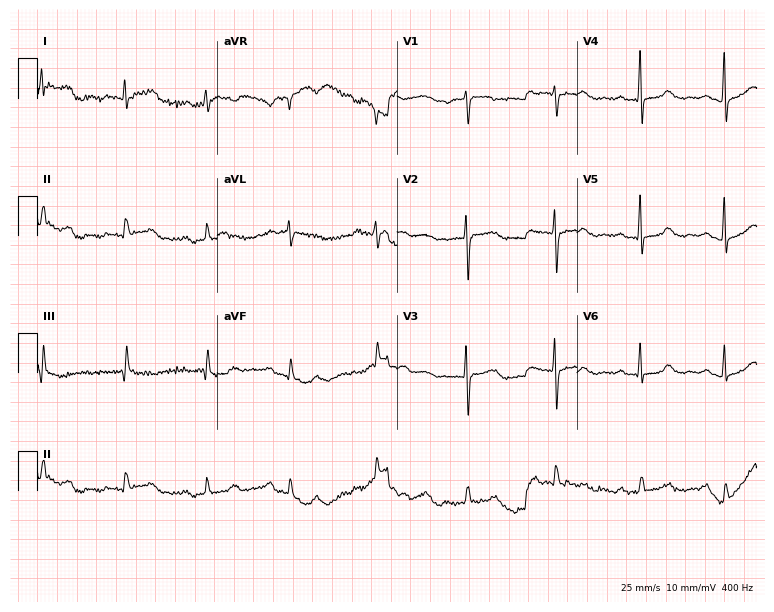
ECG — a 46-year-old female. Findings include first-degree AV block.